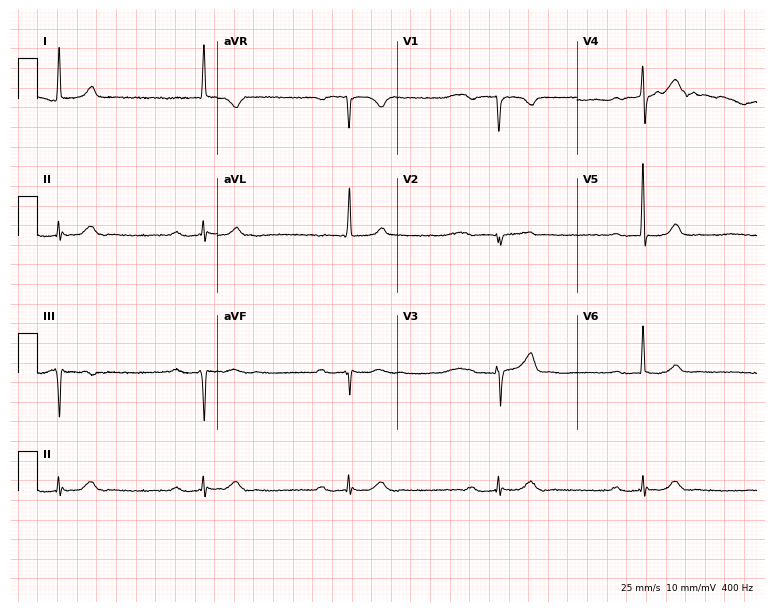
Standard 12-lead ECG recorded from a man, 78 years old. The tracing shows first-degree AV block, sinus bradycardia (a sinus rate of 50 beats per minute or less).